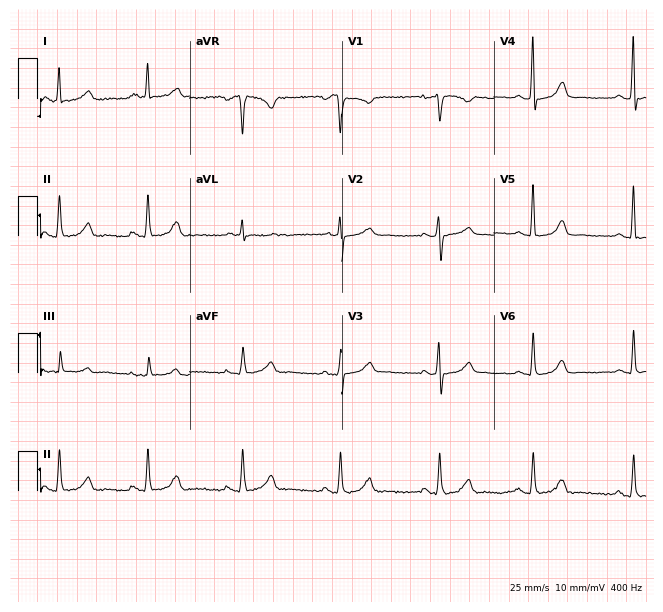
12-lead ECG from a female patient, 32 years old. No first-degree AV block, right bundle branch block, left bundle branch block, sinus bradycardia, atrial fibrillation or sinus tachycardia recorded for this tracing. Other findings, if any, are not listed.